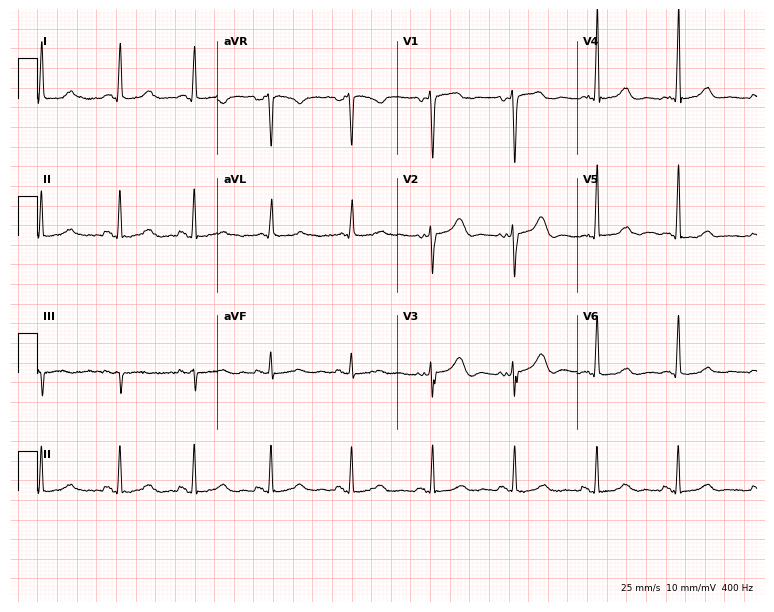
12-lead ECG from a 46-year-old female. Screened for six findings — first-degree AV block, right bundle branch block, left bundle branch block, sinus bradycardia, atrial fibrillation, sinus tachycardia — none is recorded. Only these six findings were labelled.